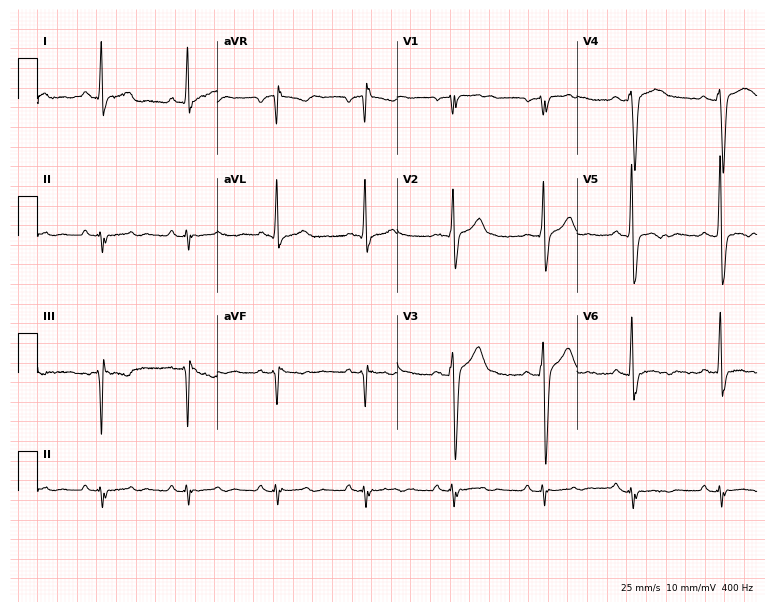
ECG (7.3-second recording at 400 Hz) — a 32-year-old male patient. Screened for six findings — first-degree AV block, right bundle branch block (RBBB), left bundle branch block (LBBB), sinus bradycardia, atrial fibrillation (AF), sinus tachycardia — none is recorded. Other findings, if any, are not listed.